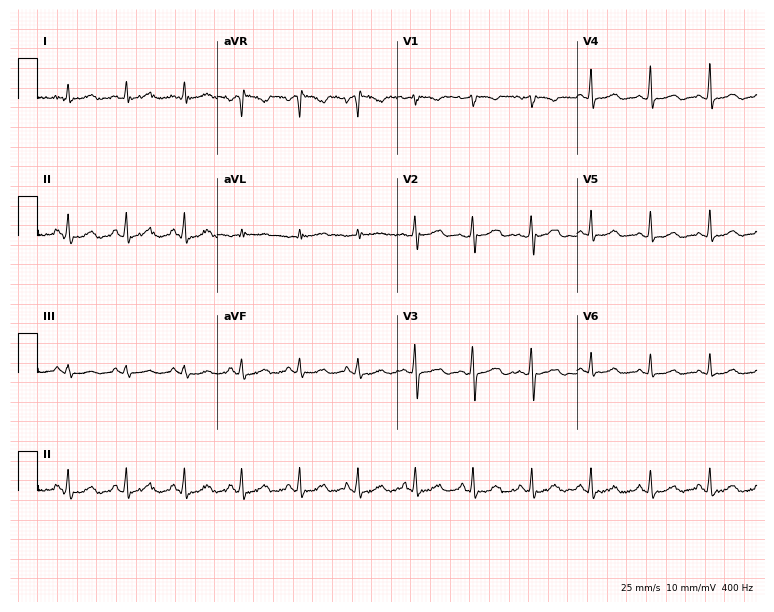
12-lead ECG from a woman, 43 years old. Shows sinus tachycardia (a sinus rate of 100 beats per minute or more).